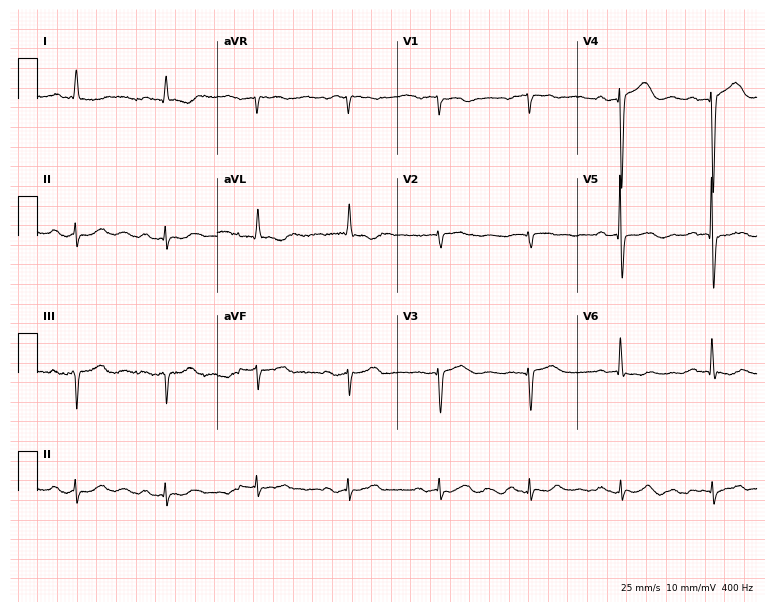
Standard 12-lead ECG recorded from an 86-year-old female patient (7.3-second recording at 400 Hz). None of these six findings is recorded: first-degree AV block, right bundle branch block, left bundle branch block, sinus bradycardia, atrial fibrillation, sinus tachycardia. Other findings, if any, are not listed.